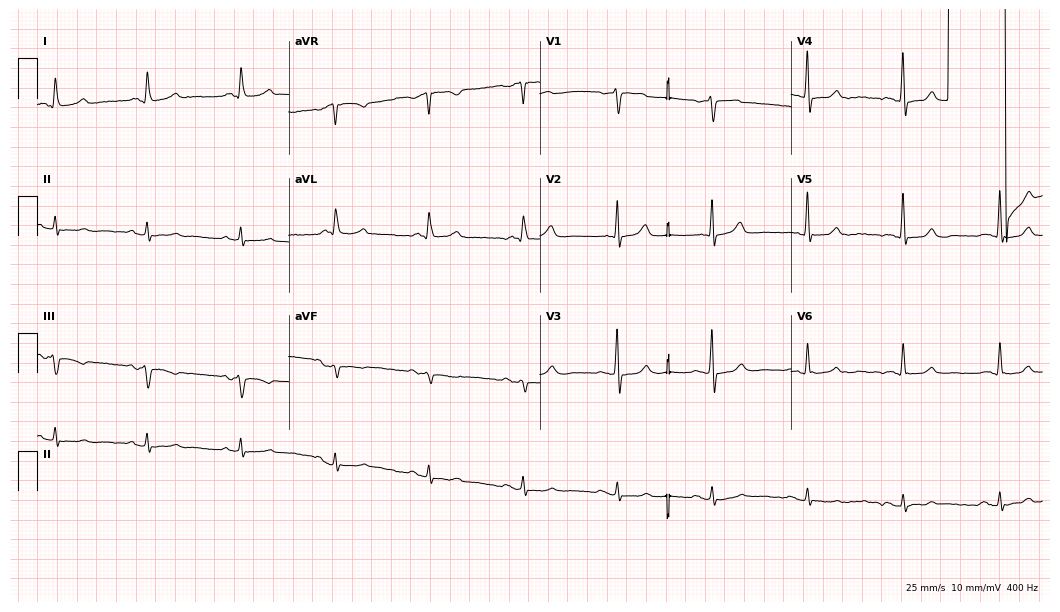
ECG — an 80-year-old male. Screened for six findings — first-degree AV block, right bundle branch block, left bundle branch block, sinus bradycardia, atrial fibrillation, sinus tachycardia — none is recorded. Findings outside these six are not listed.